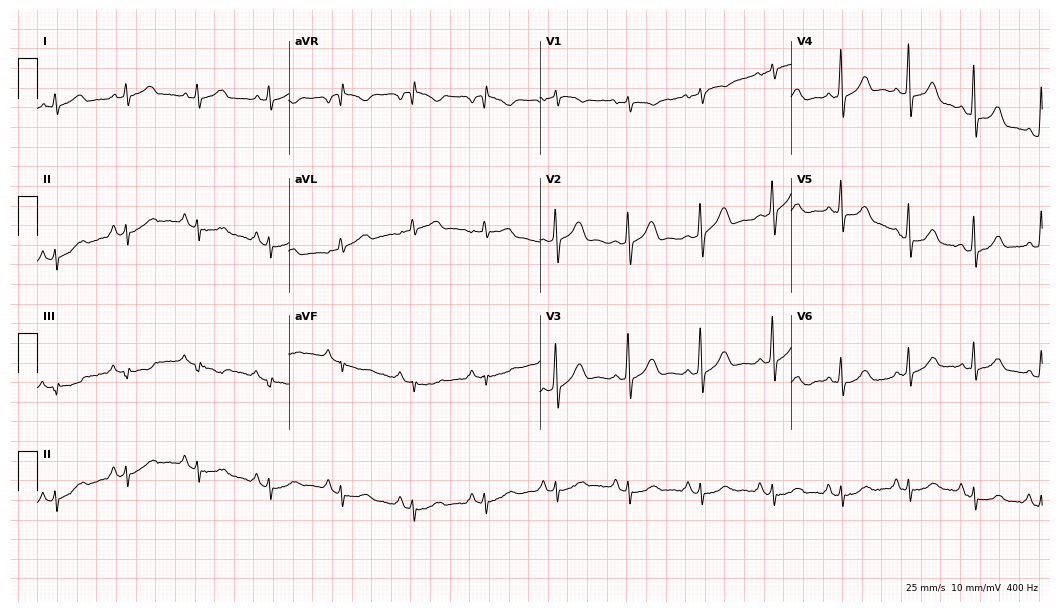
Resting 12-lead electrocardiogram. Patient: a woman, 66 years old. None of these six findings is recorded: first-degree AV block, right bundle branch block, left bundle branch block, sinus bradycardia, atrial fibrillation, sinus tachycardia.